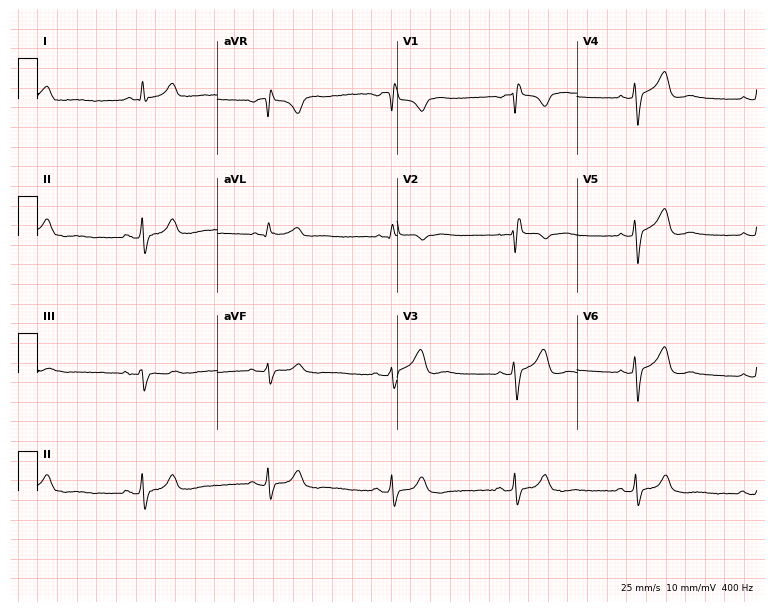
12-lead ECG from a 31-year-old man (7.3-second recording at 400 Hz). Shows right bundle branch block.